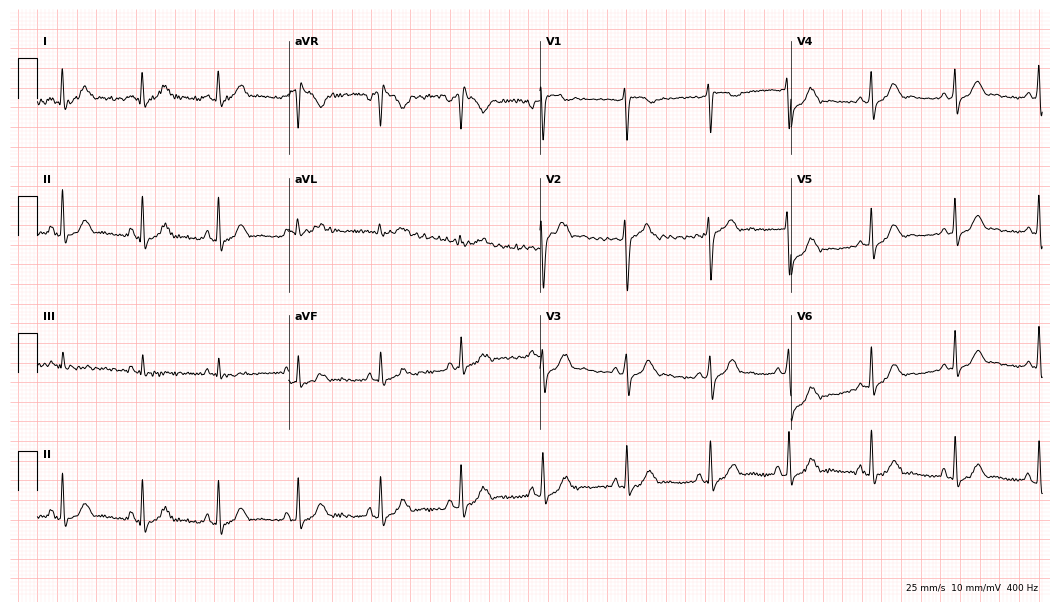
ECG (10.2-second recording at 400 Hz) — a 29-year-old male patient. Labelled as a normal ECG.